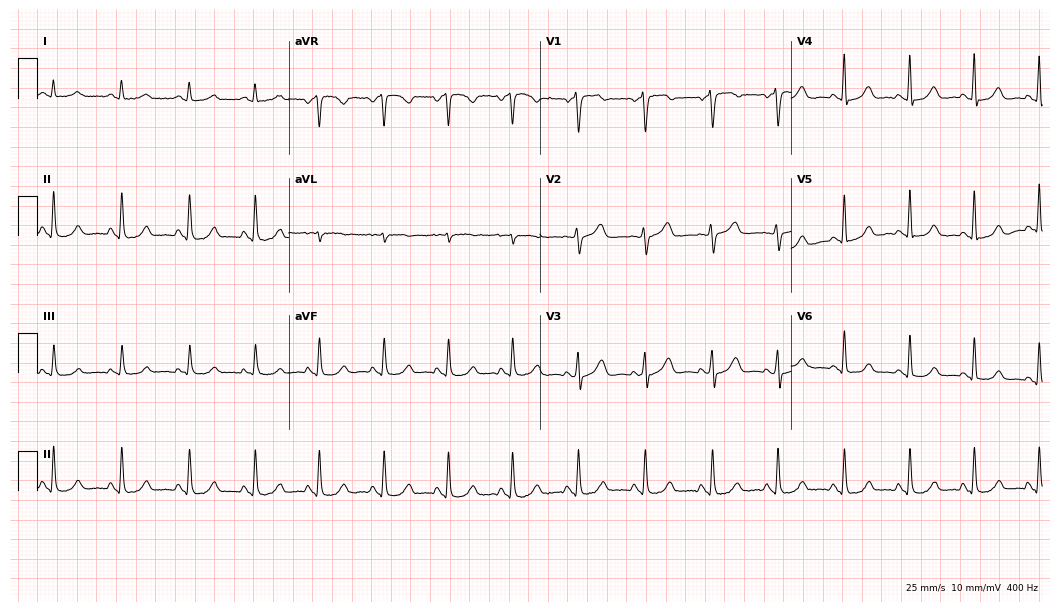
Resting 12-lead electrocardiogram (10.2-second recording at 400 Hz). Patient: a 49-year-old woman. None of these six findings is recorded: first-degree AV block, right bundle branch block, left bundle branch block, sinus bradycardia, atrial fibrillation, sinus tachycardia. Findings outside these six are not listed.